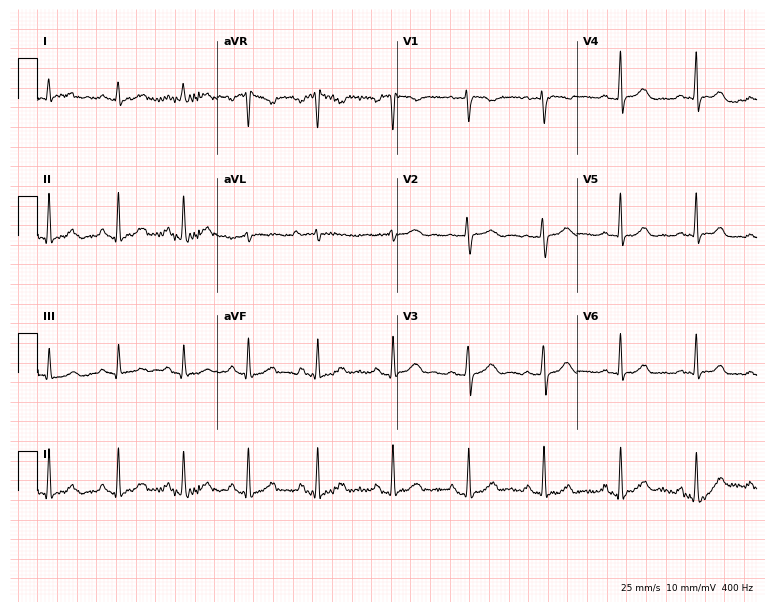
Electrocardiogram (7.3-second recording at 400 Hz), a 28-year-old woman. Of the six screened findings (first-degree AV block, right bundle branch block, left bundle branch block, sinus bradycardia, atrial fibrillation, sinus tachycardia), none is recorded. Findings outside these six are not listed.